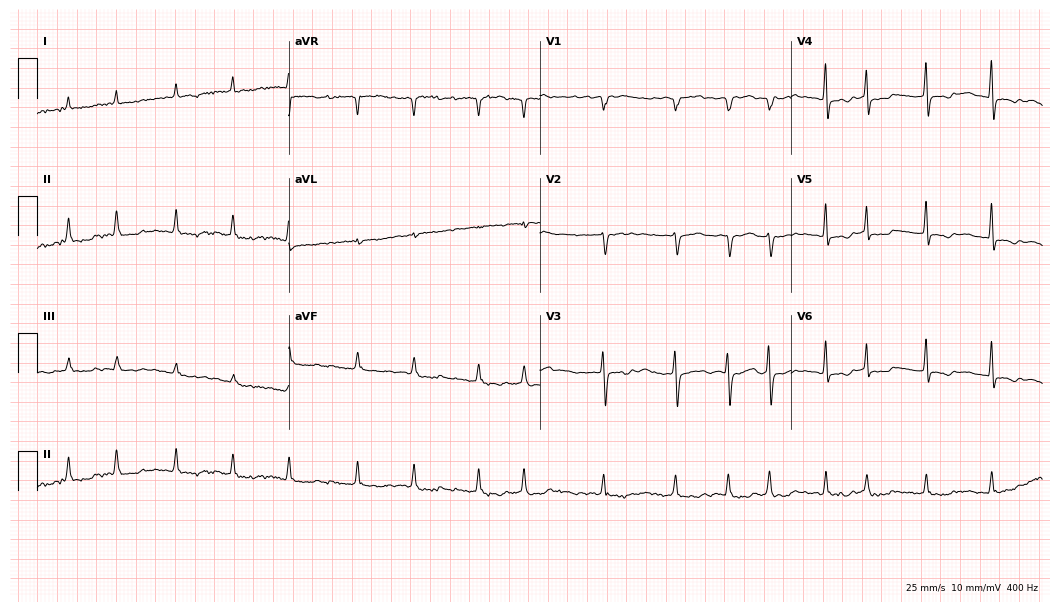
ECG — an 85-year-old male. Screened for six findings — first-degree AV block, right bundle branch block, left bundle branch block, sinus bradycardia, atrial fibrillation, sinus tachycardia — none is recorded.